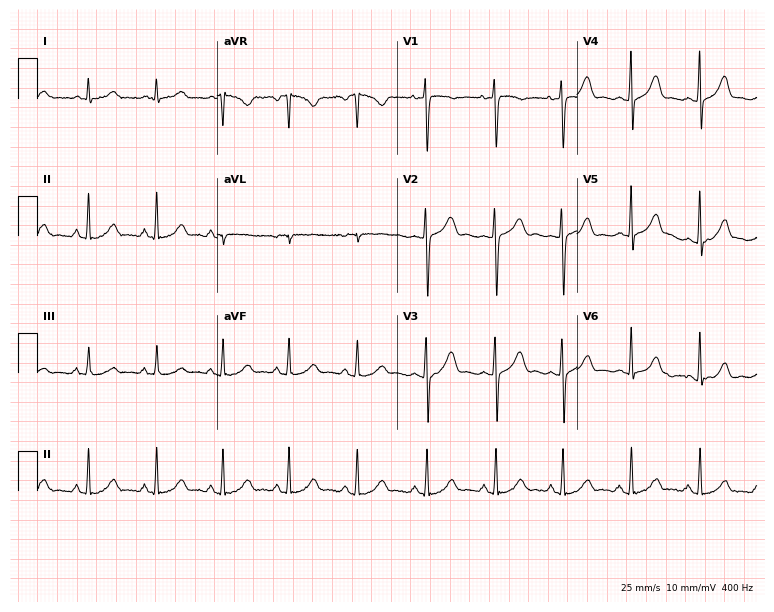
12-lead ECG from a 26-year-old female patient. Screened for six findings — first-degree AV block, right bundle branch block, left bundle branch block, sinus bradycardia, atrial fibrillation, sinus tachycardia — none is recorded. Only these six findings were labelled.